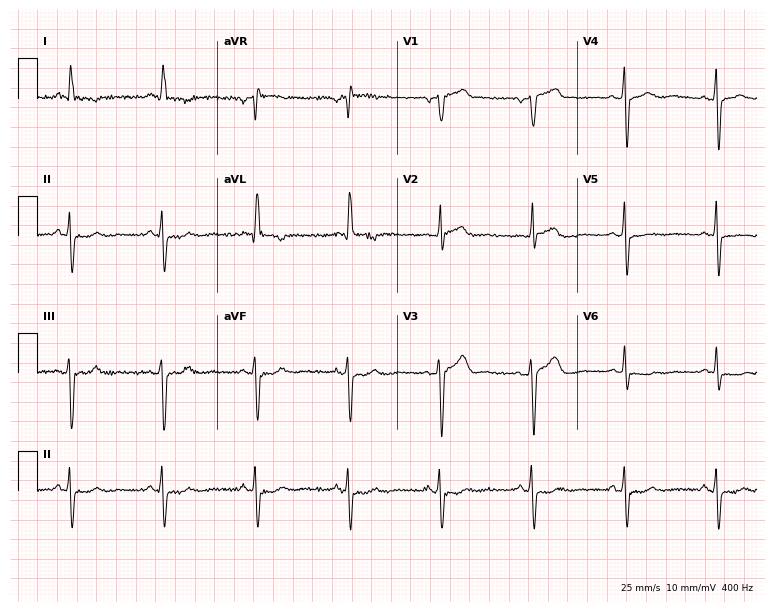
12-lead ECG from a 53-year-old man (7.3-second recording at 400 Hz). No first-degree AV block, right bundle branch block (RBBB), left bundle branch block (LBBB), sinus bradycardia, atrial fibrillation (AF) or sinus tachycardia recorded for this tracing.